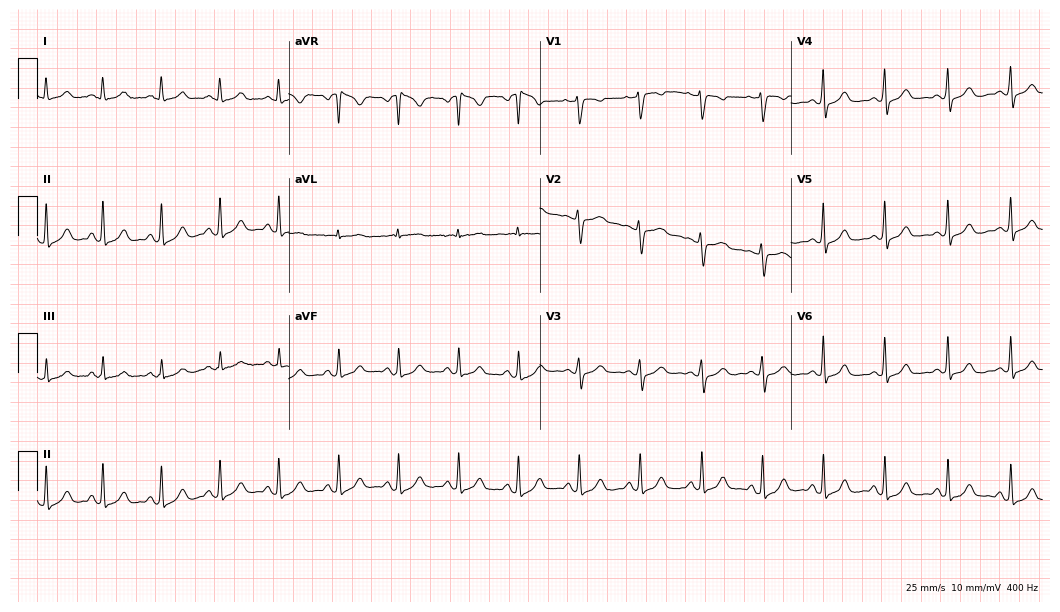
12-lead ECG from a female, 49 years old (10.2-second recording at 400 Hz). No first-degree AV block, right bundle branch block, left bundle branch block, sinus bradycardia, atrial fibrillation or sinus tachycardia recorded for this tracing. Other findings, if any, are not listed.